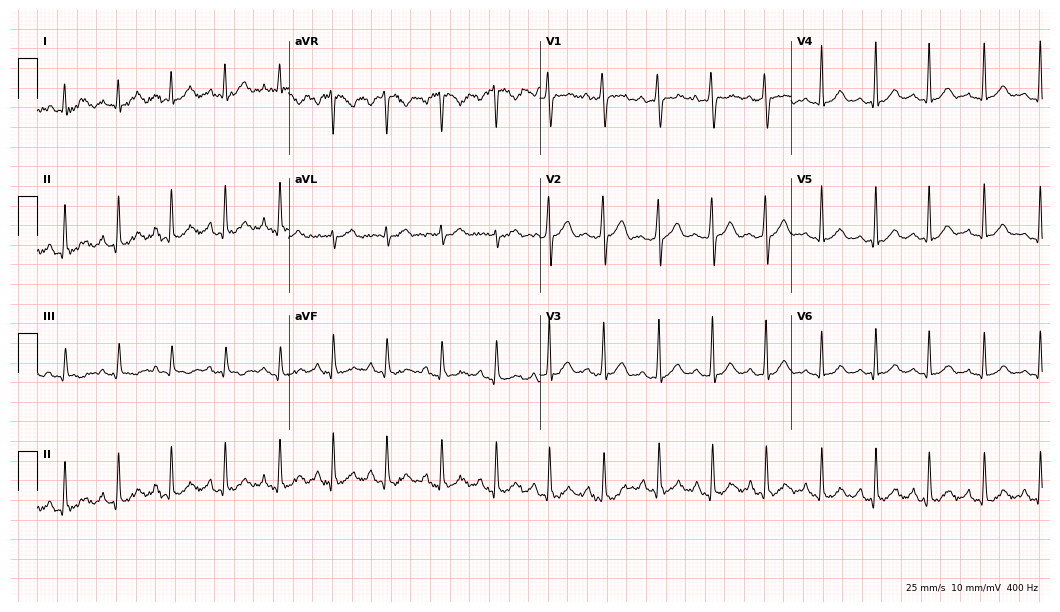
12-lead ECG (10.2-second recording at 400 Hz) from a man, 20 years old. Screened for six findings — first-degree AV block, right bundle branch block, left bundle branch block, sinus bradycardia, atrial fibrillation, sinus tachycardia — none is recorded. Findings outside these six are not listed.